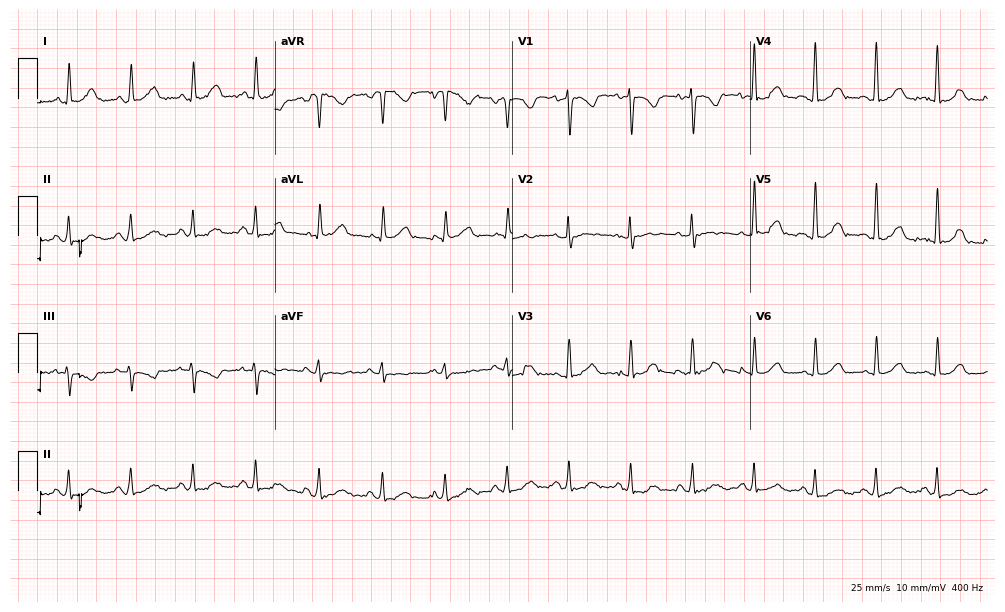
Electrocardiogram (9.7-second recording at 400 Hz), a woman, 31 years old. Overall reading on record: normal ECG.